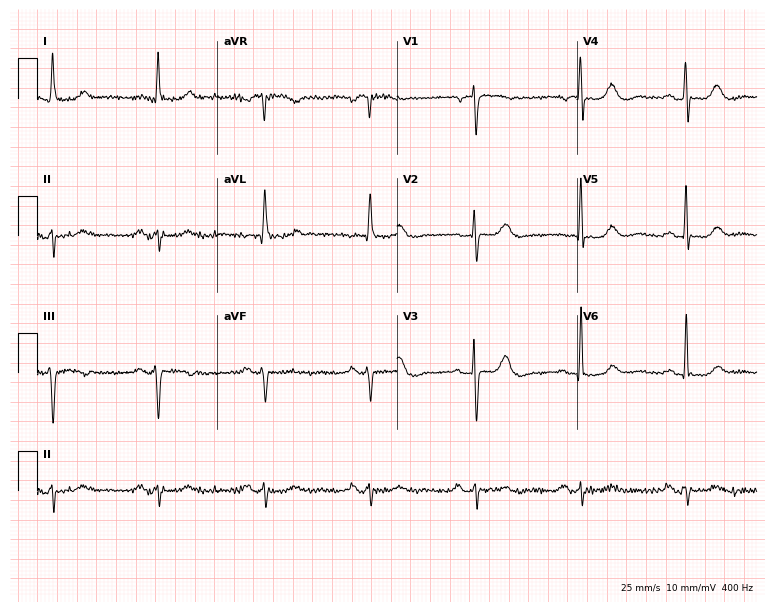
Standard 12-lead ECG recorded from a female, 72 years old (7.3-second recording at 400 Hz). The tracing shows left bundle branch block.